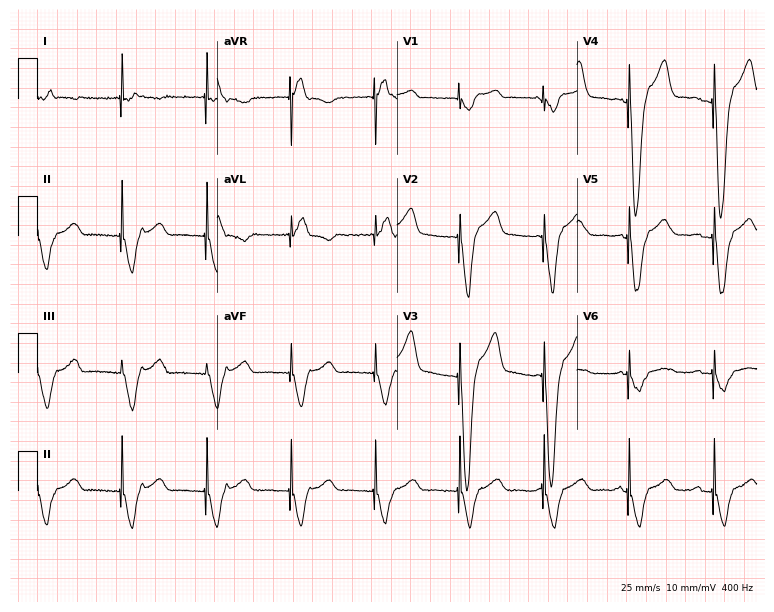
12-lead ECG from a male, 38 years old. No first-degree AV block, right bundle branch block (RBBB), left bundle branch block (LBBB), sinus bradycardia, atrial fibrillation (AF) or sinus tachycardia recorded for this tracing. Findings outside these six are not listed.